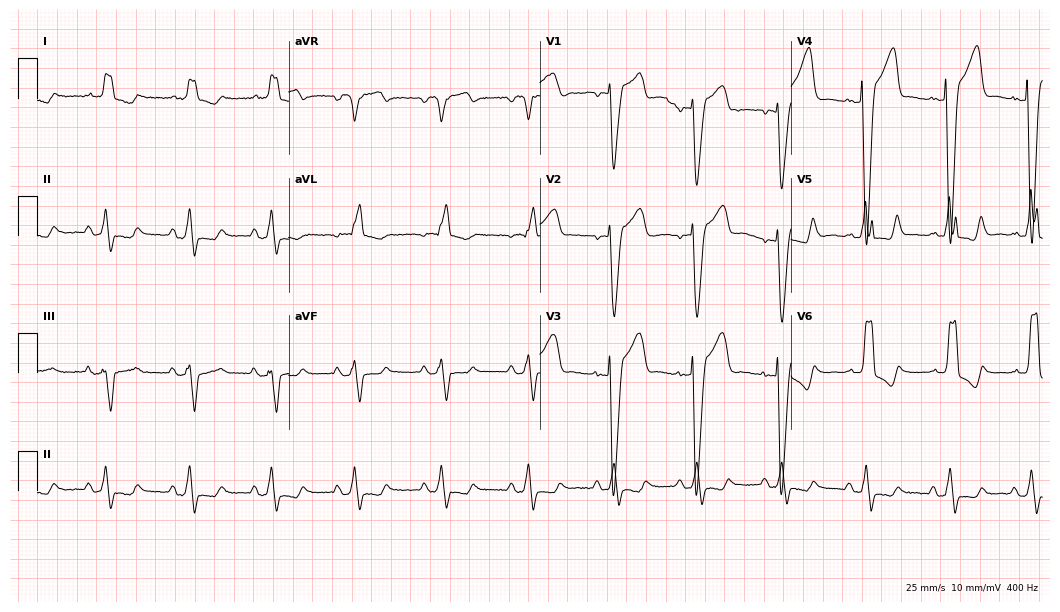
Standard 12-lead ECG recorded from an 80-year-old male (10.2-second recording at 400 Hz). The tracing shows left bundle branch block.